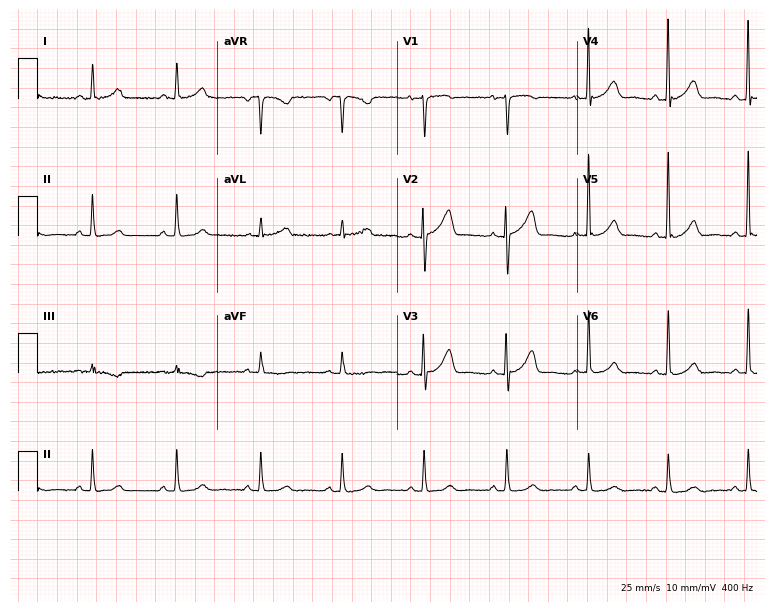
Electrocardiogram (7.3-second recording at 400 Hz), a 64-year-old female. Overall reading on record: normal ECG.